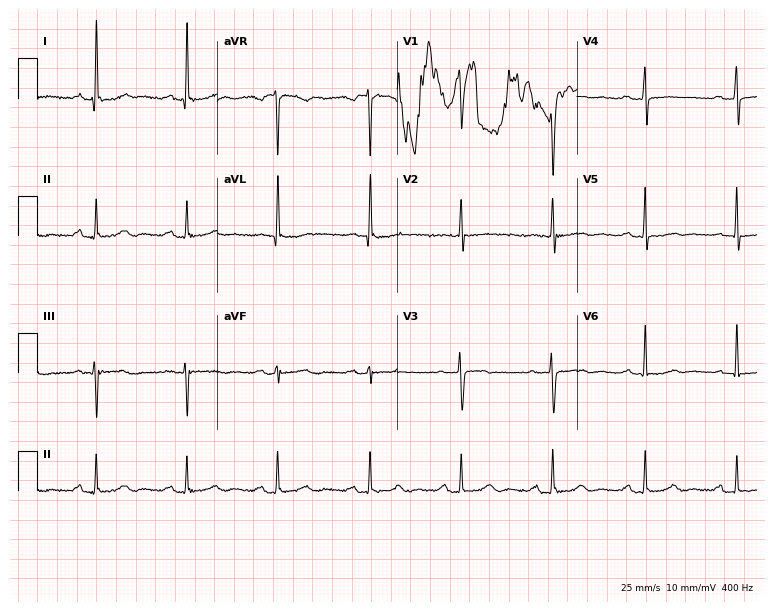
Resting 12-lead electrocardiogram. Patient: a 65-year-old woman. None of these six findings is recorded: first-degree AV block, right bundle branch block, left bundle branch block, sinus bradycardia, atrial fibrillation, sinus tachycardia. Other findings, if any, are not listed.